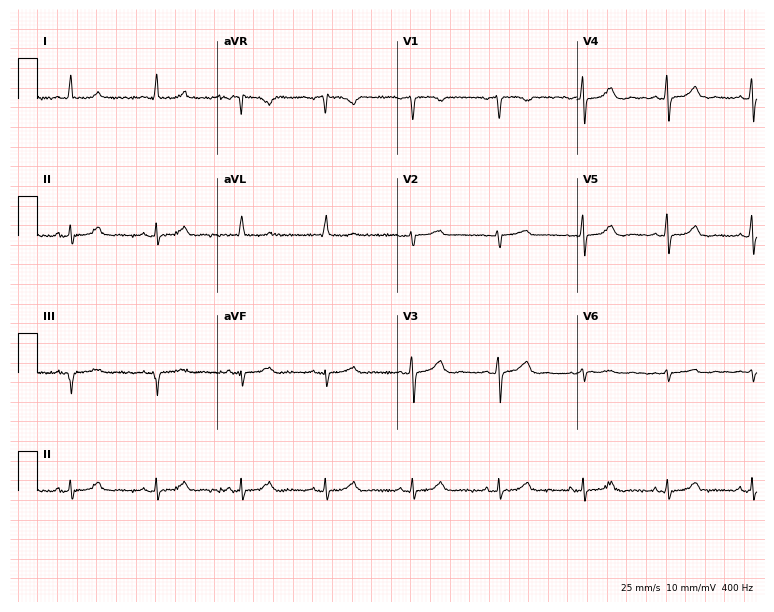
Electrocardiogram (7.3-second recording at 400 Hz), a female, 44 years old. Overall reading on record: normal ECG.